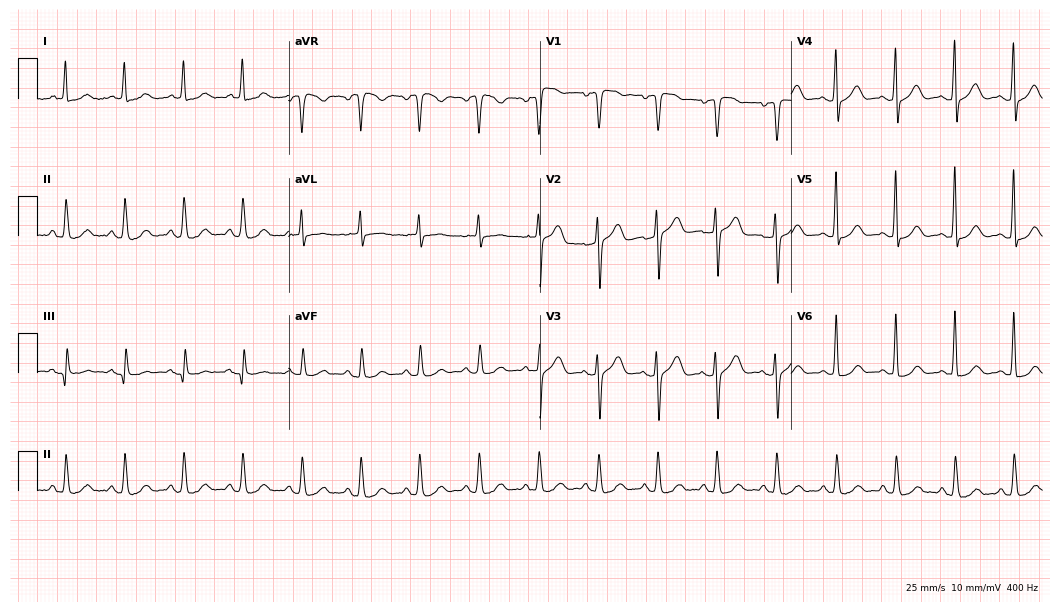
12-lead ECG from a female, 69 years old. Screened for six findings — first-degree AV block, right bundle branch block, left bundle branch block, sinus bradycardia, atrial fibrillation, sinus tachycardia — none is recorded. Other findings, if any, are not listed.